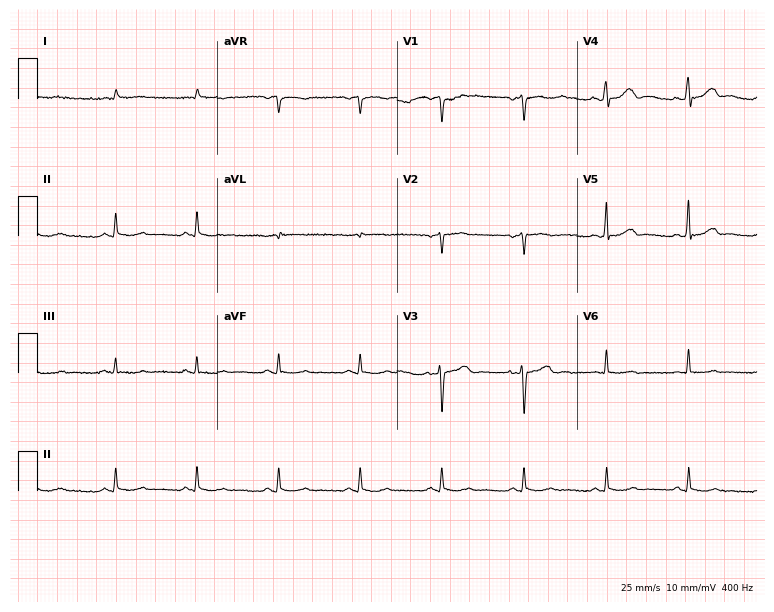
Resting 12-lead electrocardiogram. Patient: a 61-year-old male. Read as a normal ECG.